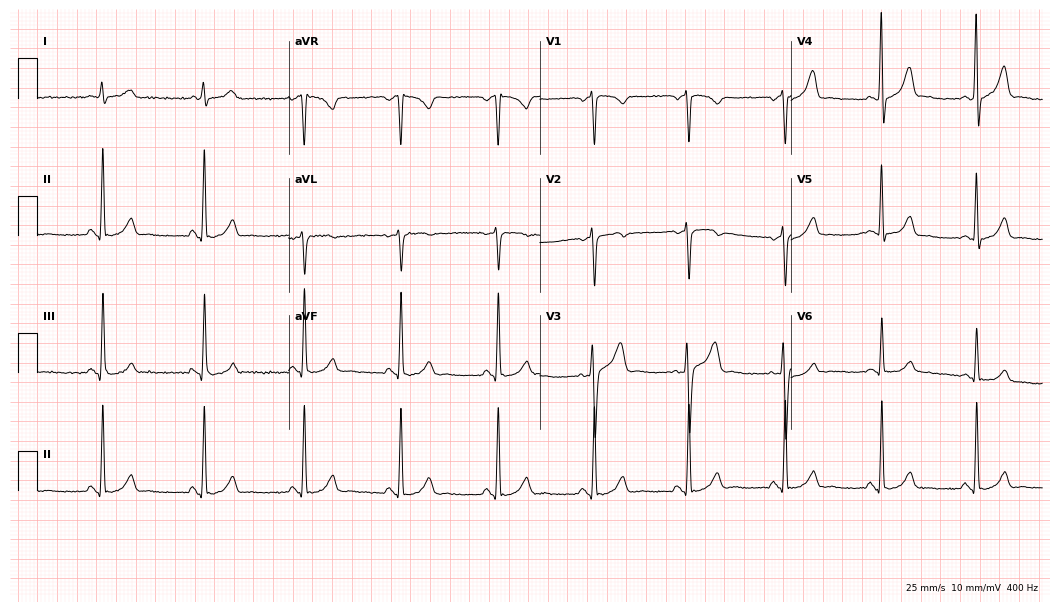
Resting 12-lead electrocardiogram. Patient: a man, 38 years old. Read as a normal ECG.